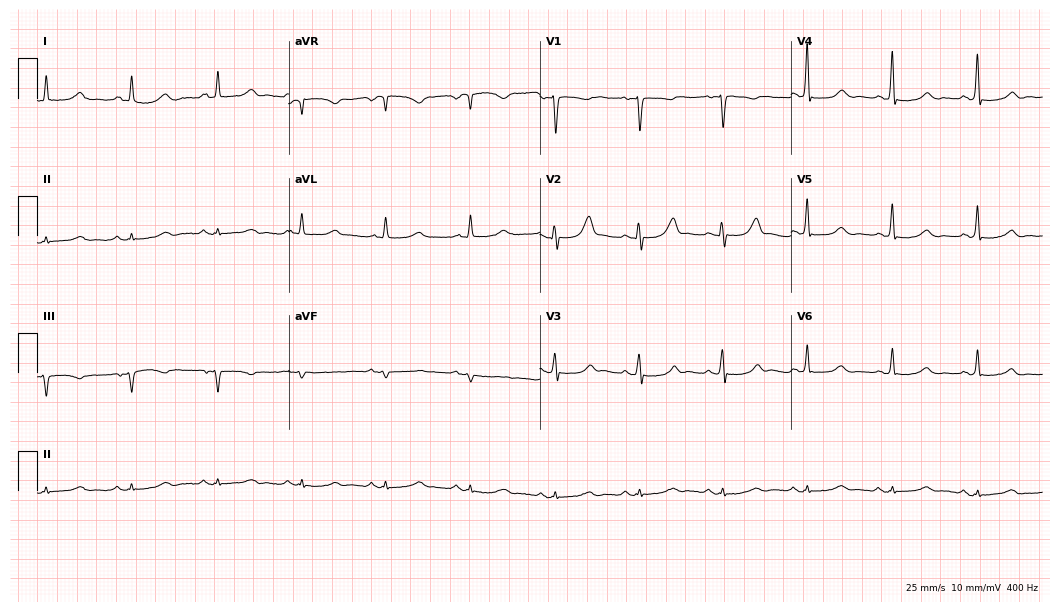
Electrocardiogram (10.2-second recording at 400 Hz), a man, 62 years old. Of the six screened findings (first-degree AV block, right bundle branch block, left bundle branch block, sinus bradycardia, atrial fibrillation, sinus tachycardia), none is recorded. Other findings, if any, are not listed.